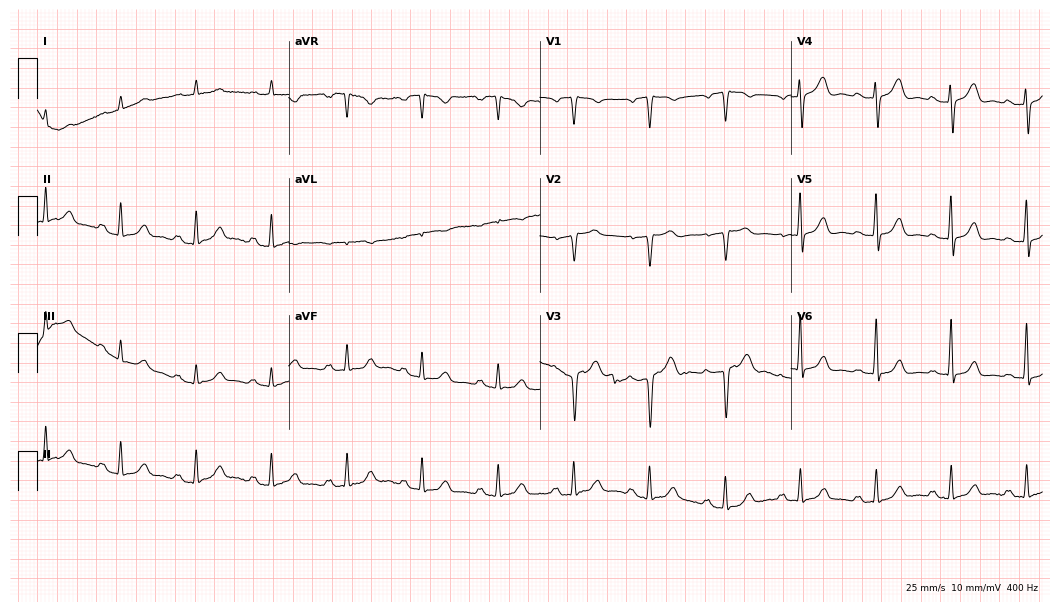
Electrocardiogram (10.2-second recording at 400 Hz), a male patient, 75 years old. Of the six screened findings (first-degree AV block, right bundle branch block, left bundle branch block, sinus bradycardia, atrial fibrillation, sinus tachycardia), none is recorded. Findings outside these six are not listed.